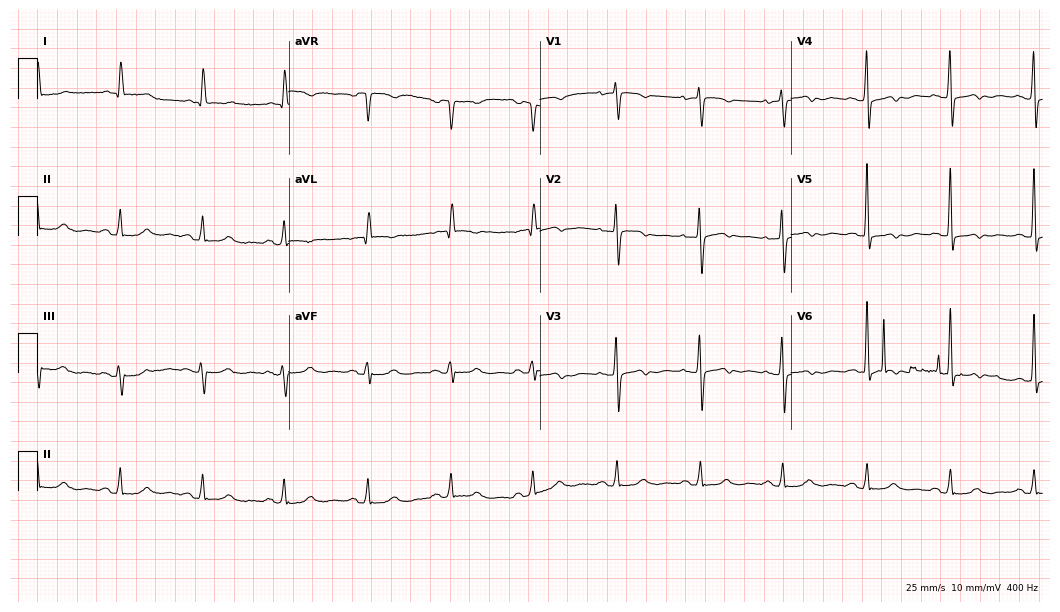
12-lead ECG from an 82-year-old woman (10.2-second recording at 400 Hz). No first-degree AV block, right bundle branch block, left bundle branch block, sinus bradycardia, atrial fibrillation or sinus tachycardia recorded for this tracing. Only these six findings were labelled.